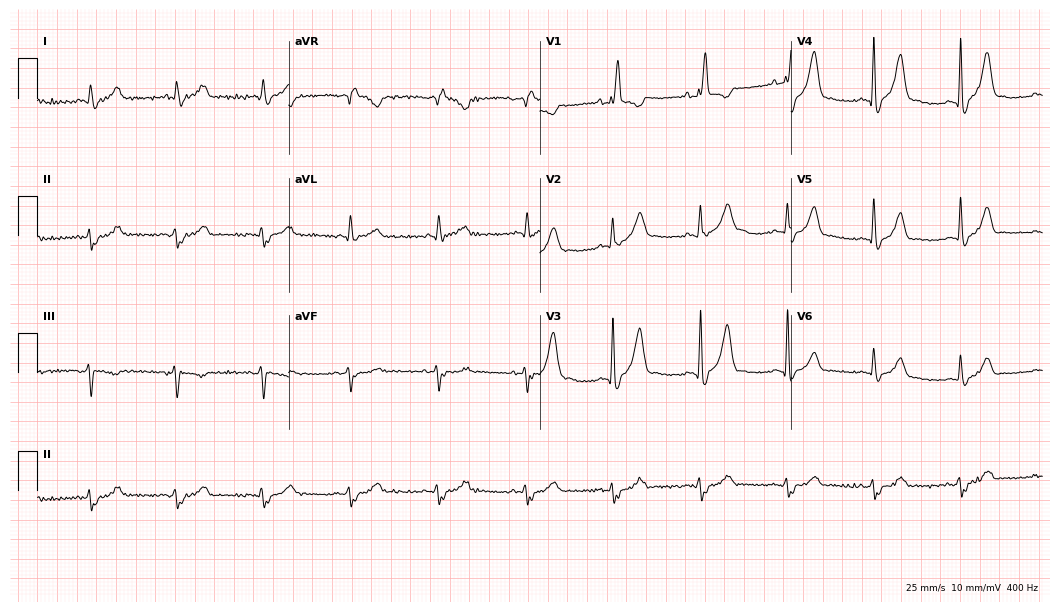
12-lead ECG from a woman, 85 years old (10.2-second recording at 400 Hz). Shows right bundle branch block.